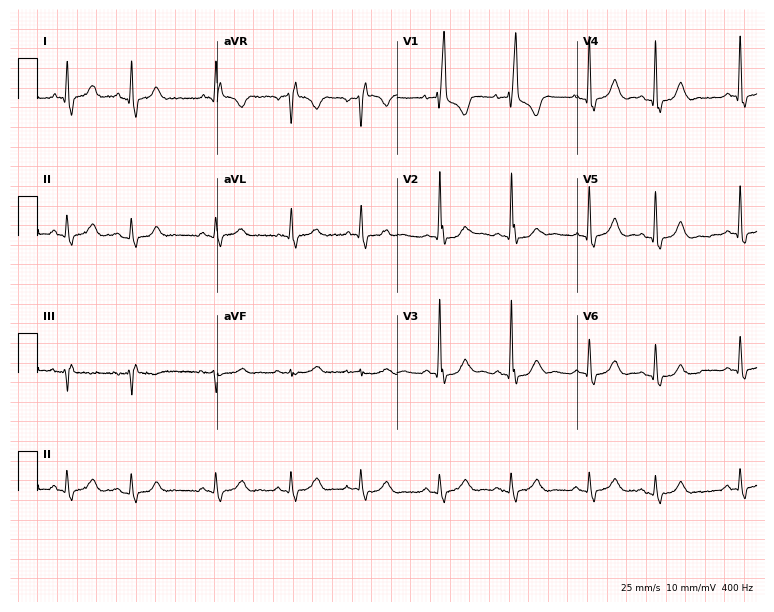
Electrocardiogram, a female, 66 years old. Interpretation includes right bundle branch block.